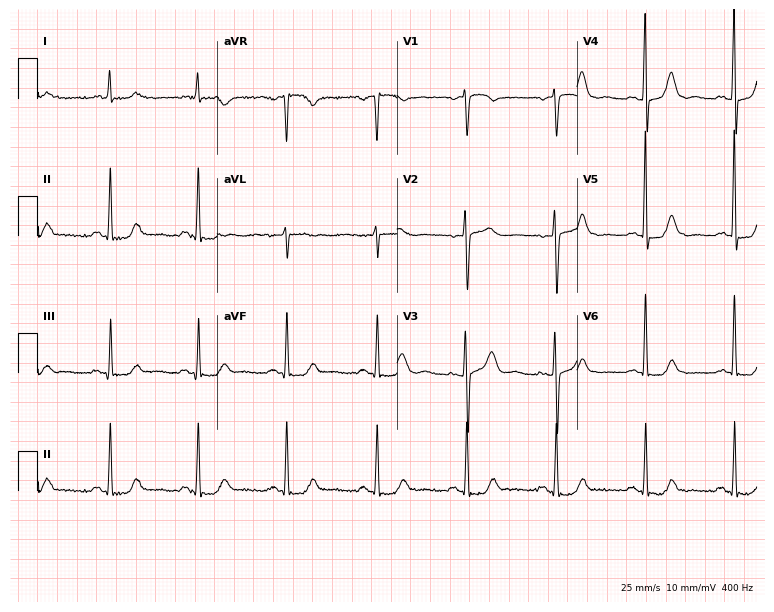
Electrocardiogram (7.3-second recording at 400 Hz), a female, 76 years old. Of the six screened findings (first-degree AV block, right bundle branch block, left bundle branch block, sinus bradycardia, atrial fibrillation, sinus tachycardia), none is recorded.